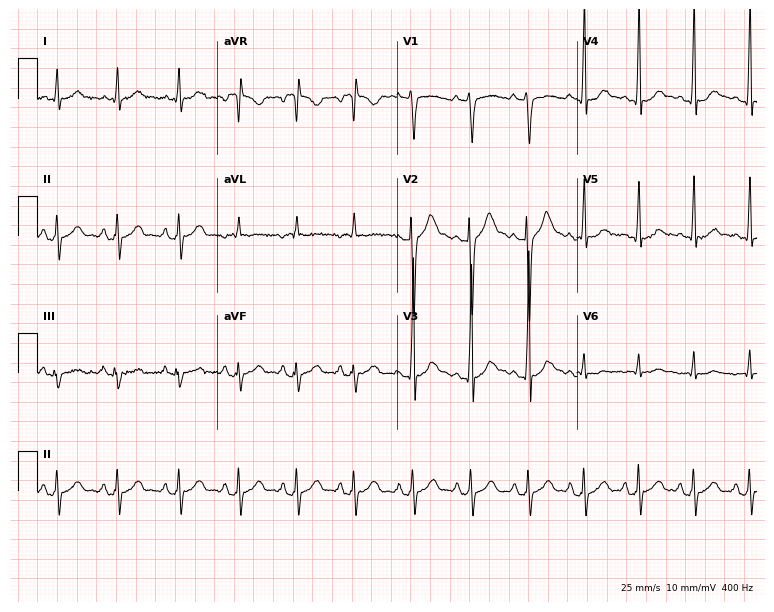
12-lead ECG from a male patient, 21 years old. Labelled as a normal ECG.